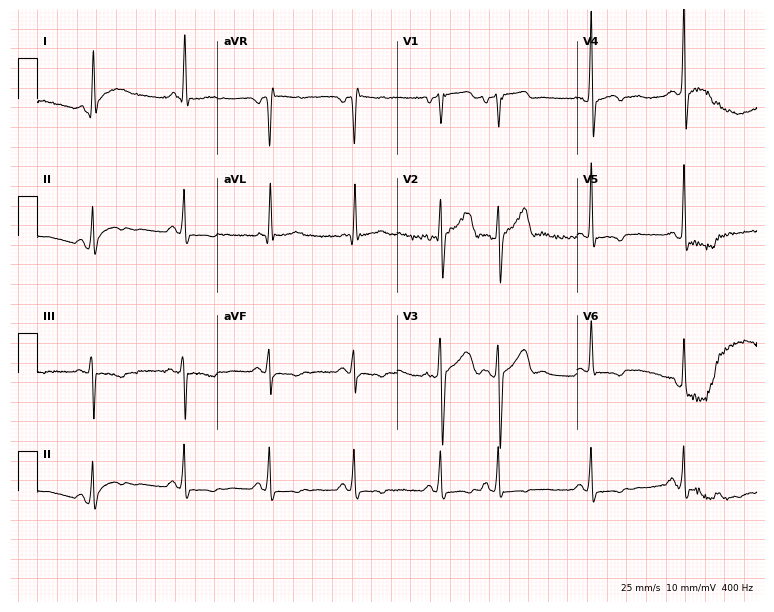
Standard 12-lead ECG recorded from a 55-year-old male. None of these six findings is recorded: first-degree AV block, right bundle branch block, left bundle branch block, sinus bradycardia, atrial fibrillation, sinus tachycardia.